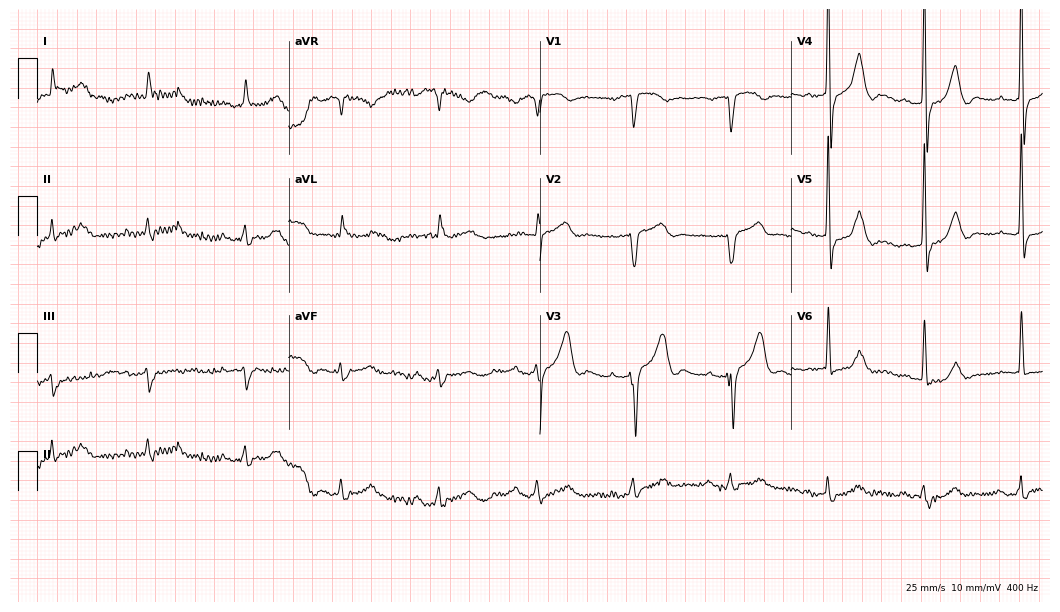
12-lead ECG from a male, 79 years old. No first-degree AV block, right bundle branch block, left bundle branch block, sinus bradycardia, atrial fibrillation or sinus tachycardia recorded for this tracing. Findings outside these six are not listed.